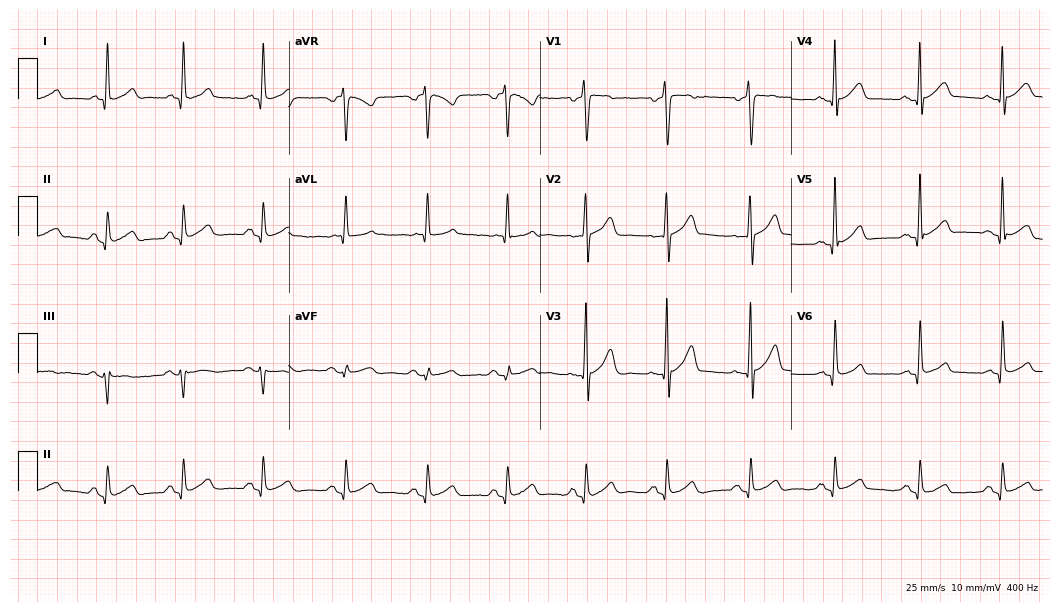
Standard 12-lead ECG recorded from a male patient, 42 years old. Read as a normal ECG.